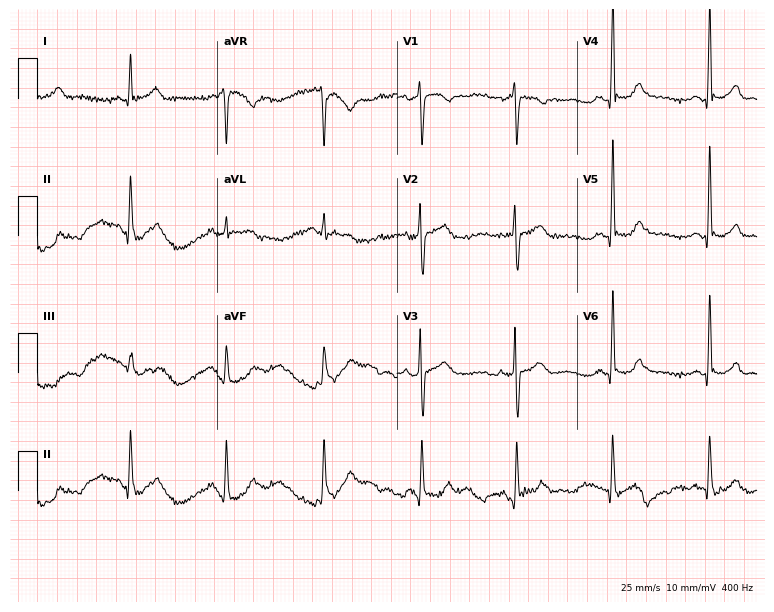
Electrocardiogram, a 47-year-old male patient. Of the six screened findings (first-degree AV block, right bundle branch block (RBBB), left bundle branch block (LBBB), sinus bradycardia, atrial fibrillation (AF), sinus tachycardia), none is recorded. Findings outside these six are not listed.